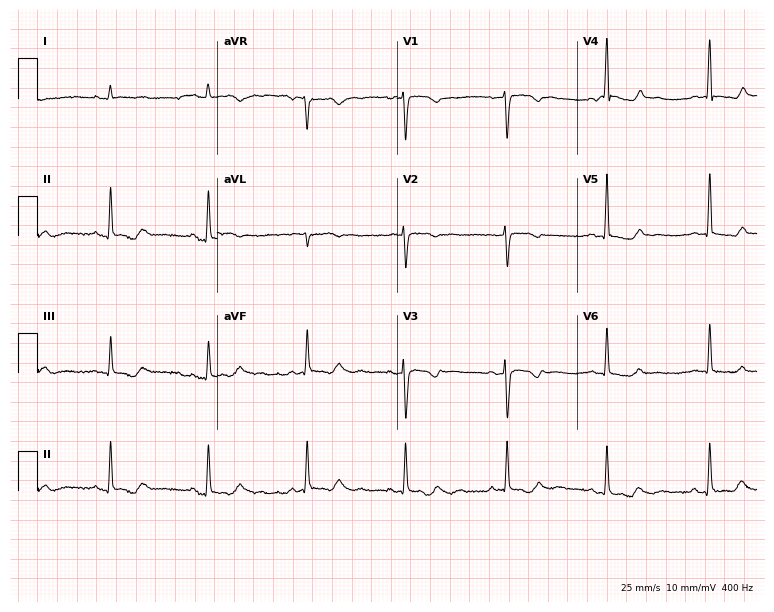
ECG (7.3-second recording at 400 Hz) — a female patient, 51 years old. Screened for six findings — first-degree AV block, right bundle branch block, left bundle branch block, sinus bradycardia, atrial fibrillation, sinus tachycardia — none is recorded. Findings outside these six are not listed.